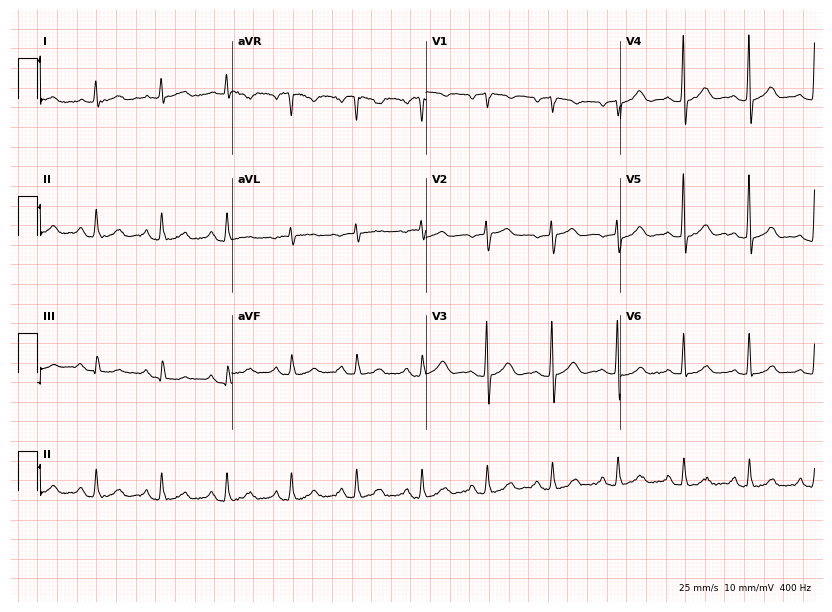
Electrocardiogram (7.9-second recording at 400 Hz), a 67-year-old woman. Of the six screened findings (first-degree AV block, right bundle branch block (RBBB), left bundle branch block (LBBB), sinus bradycardia, atrial fibrillation (AF), sinus tachycardia), none is recorded.